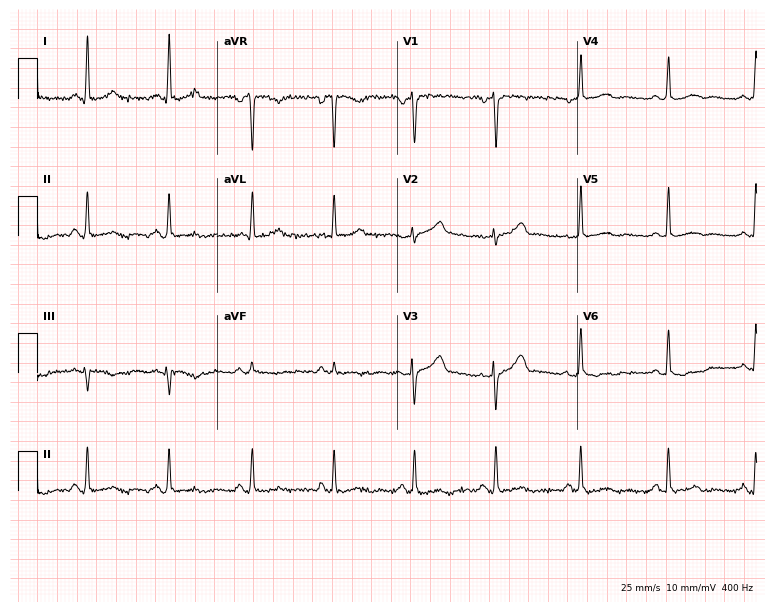
12-lead ECG (7.3-second recording at 400 Hz) from a female, 48 years old. Screened for six findings — first-degree AV block, right bundle branch block, left bundle branch block, sinus bradycardia, atrial fibrillation, sinus tachycardia — none is recorded. Findings outside these six are not listed.